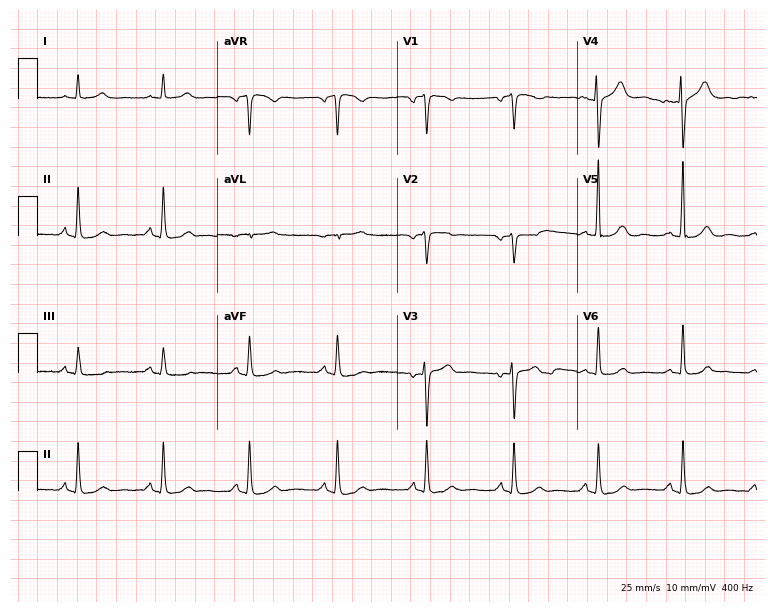
Electrocardiogram, a 51-year-old female. Of the six screened findings (first-degree AV block, right bundle branch block, left bundle branch block, sinus bradycardia, atrial fibrillation, sinus tachycardia), none is recorded. Other findings, if any, are not listed.